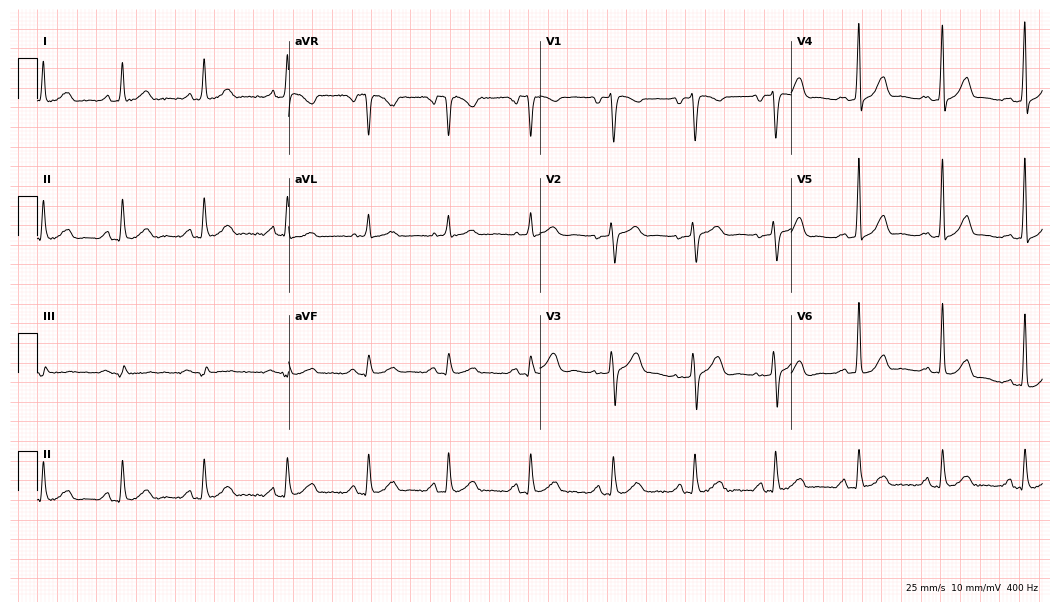
12-lead ECG from a 31-year-old female patient. Screened for six findings — first-degree AV block, right bundle branch block, left bundle branch block, sinus bradycardia, atrial fibrillation, sinus tachycardia — none is recorded. Other findings, if any, are not listed.